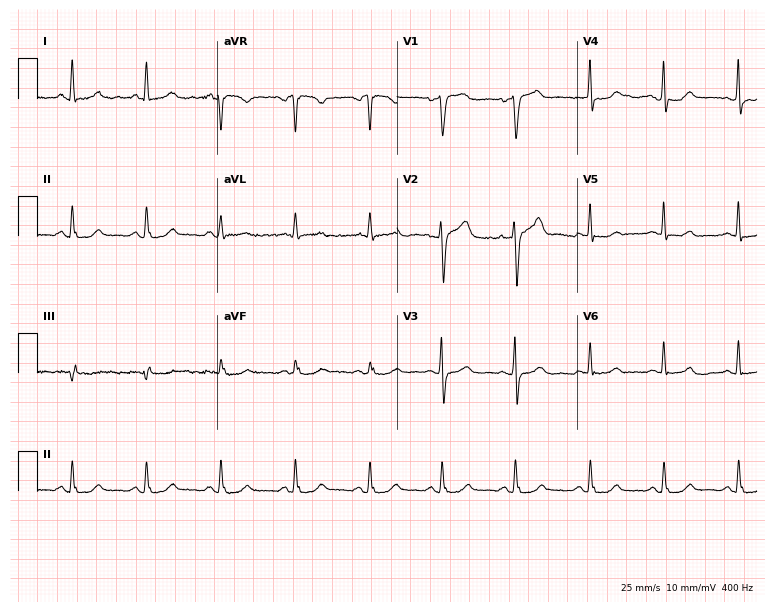
Electrocardiogram, a 41-year-old woman. Of the six screened findings (first-degree AV block, right bundle branch block, left bundle branch block, sinus bradycardia, atrial fibrillation, sinus tachycardia), none is recorded.